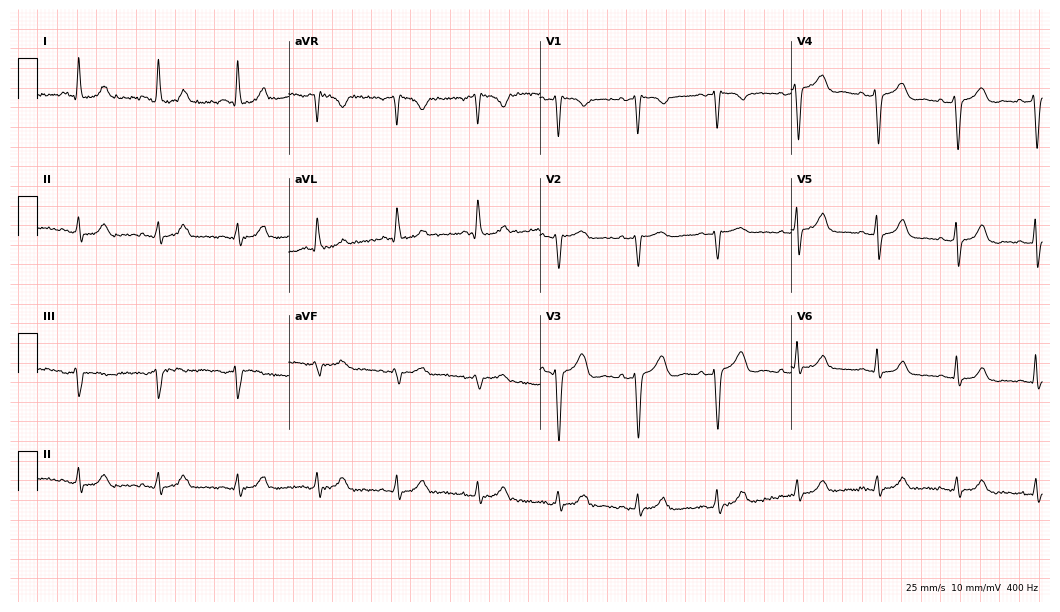
Resting 12-lead electrocardiogram (10.2-second recording at 400 Hz). Patient: a female, 63 years old. None of these six findings is recorded: first-degree AV block, right bundle branch block, left bundle branch block, sinus bradycardia, atrial fibrillation, sinus tachycardia. Other findings, if any, are not listed.